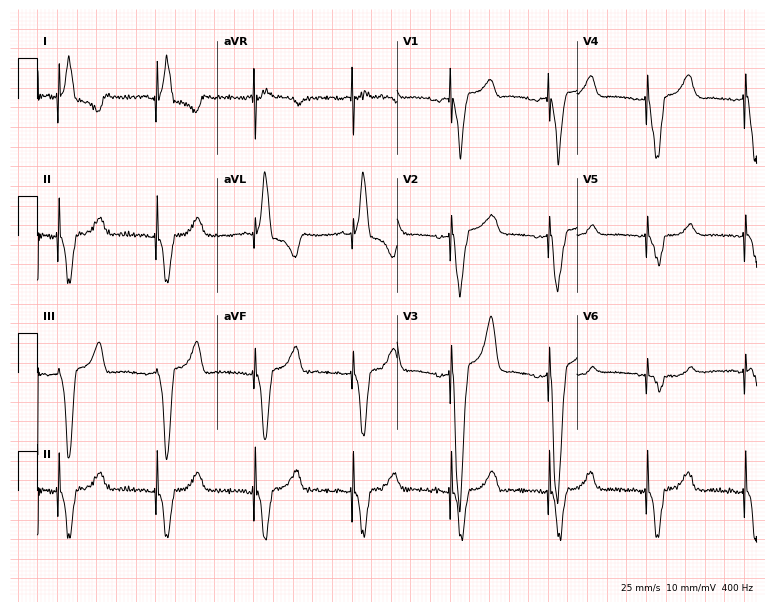
Electrocardiogram (7.3-second recording at 400 Hz), an 83-year-old woman. Of the six screened findings (first-degree AV block, right bundle branch block (RBBB), left bundle branch block (LBBB), sinus bradycardia, atrial fibrillation (AF), sinus tachycardia), none is recorded. Findings outside these six are not listed.